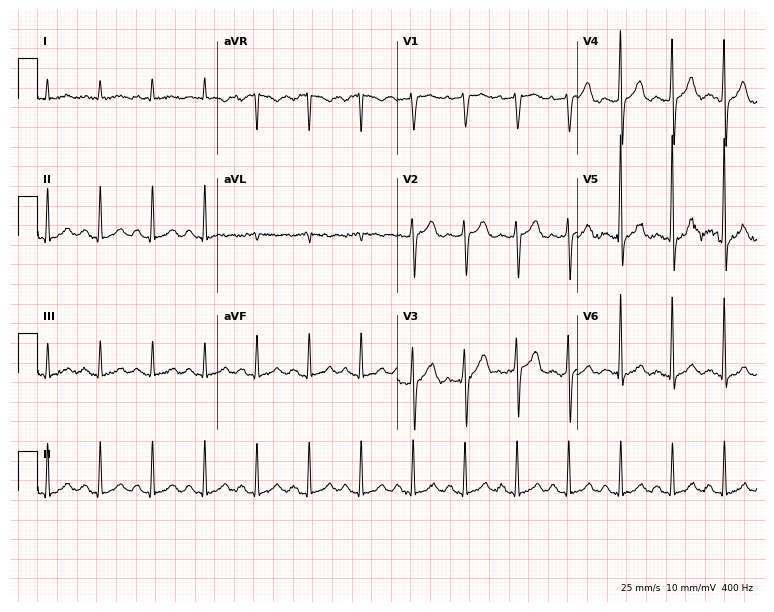
12-lead ECG from a male patient, 80 years old. Screened for six findings — first-degree AV block, right bundle branch block, left bundle branch block, sinus bradycardia, atrial fibrillation, sinus tachycardia — none is recorded. Only these six findings were labelled.